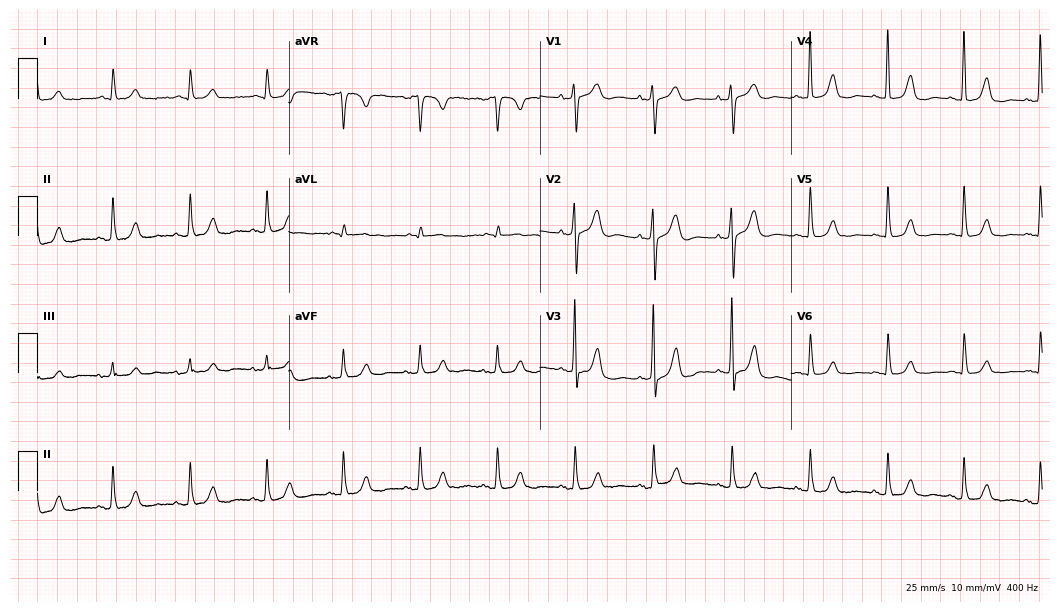
Resting 12-lead electrocardiogram (10.2-second recording at 400 Hz). Patient: an 84-year-old woman. Read as a normal ECG.